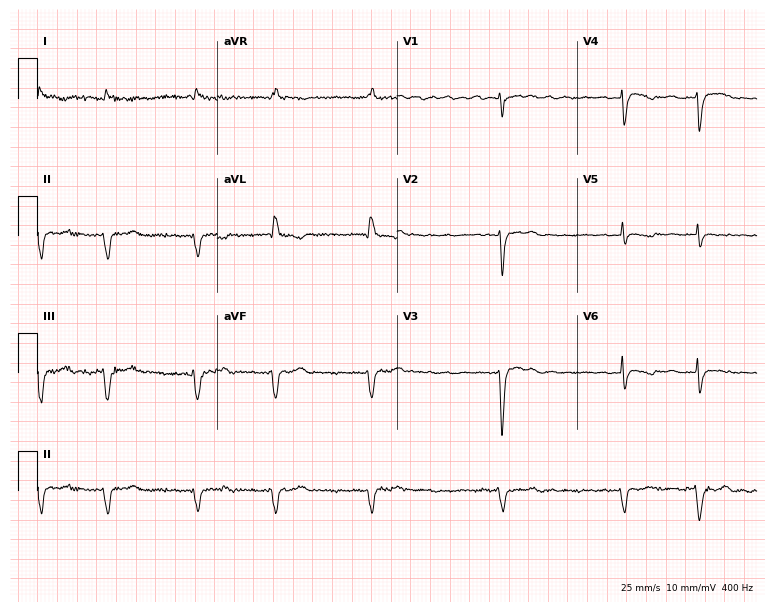
Electrocardiogram (7.3-second recording at 400 Hz), a 67-year-old male. Interpretation includes atrial fibrillation (AF).